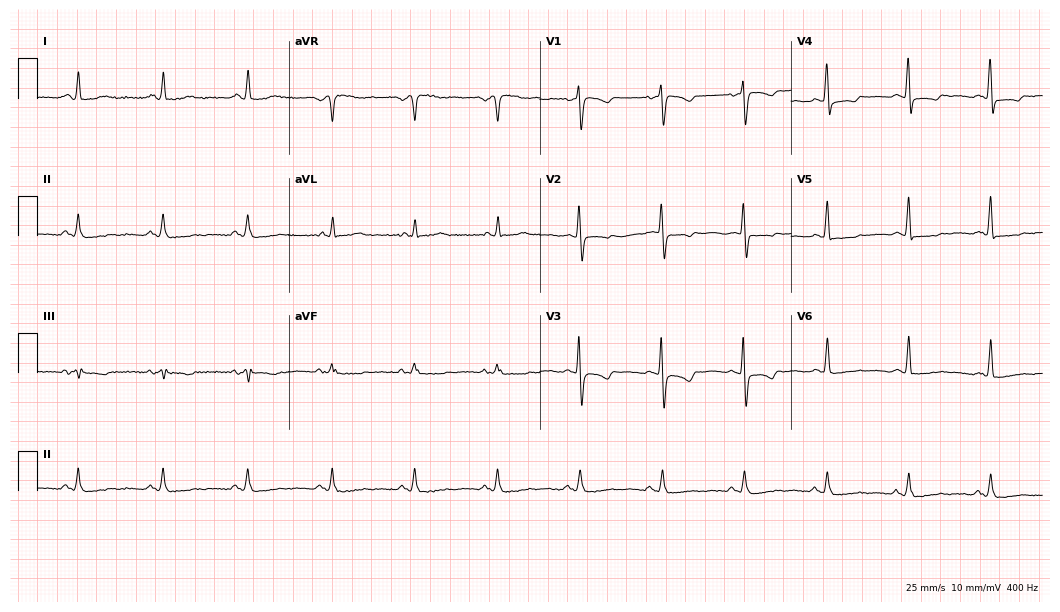
12-lead ECG from a woman, 68 years old. Screened for six findings — first-degree AV block, right bundle branch block, left bundle branch block, sinus bradycardia, atrial fibrillation, sinus tachycardia — none is recorded.